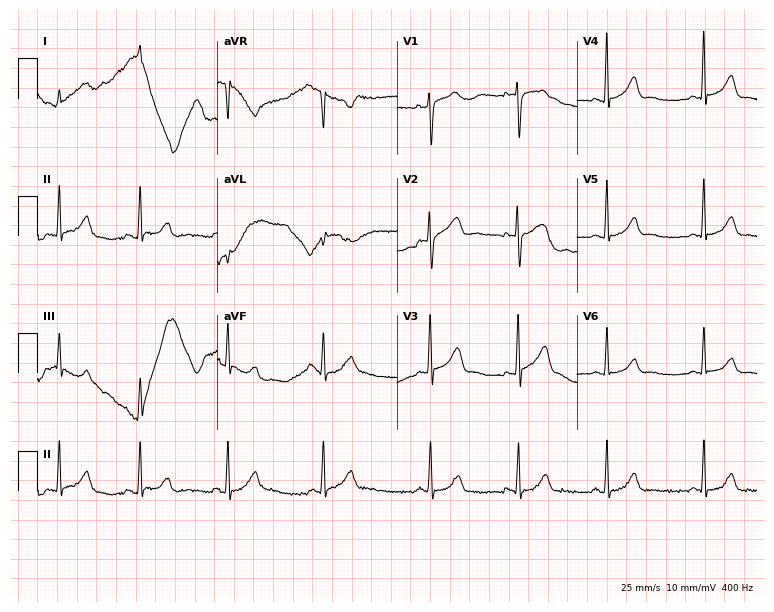
ECG — a 33-year-old female. Labelled as a normal ECG.